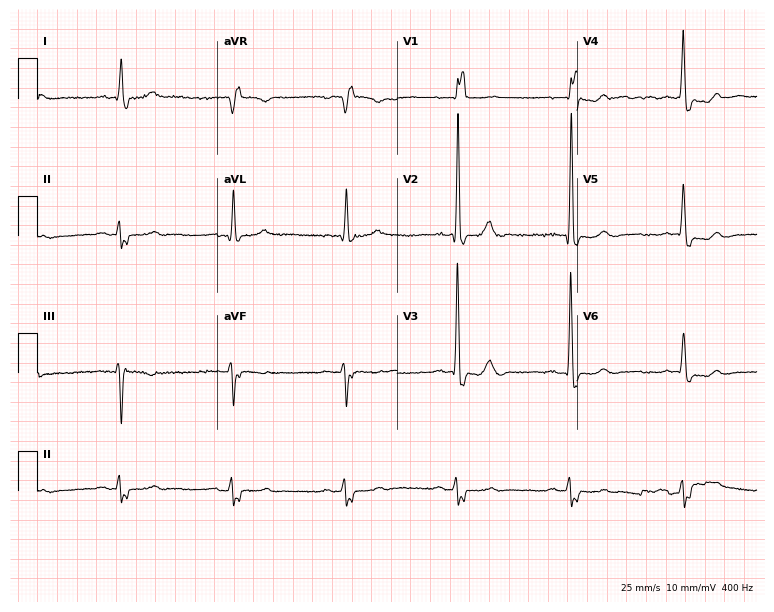
Standard 12-lead ECG recorded from an 83-year-old man (7.3-second recording at 400 Hz). The tracing shows right bundle branch block (RBBB).